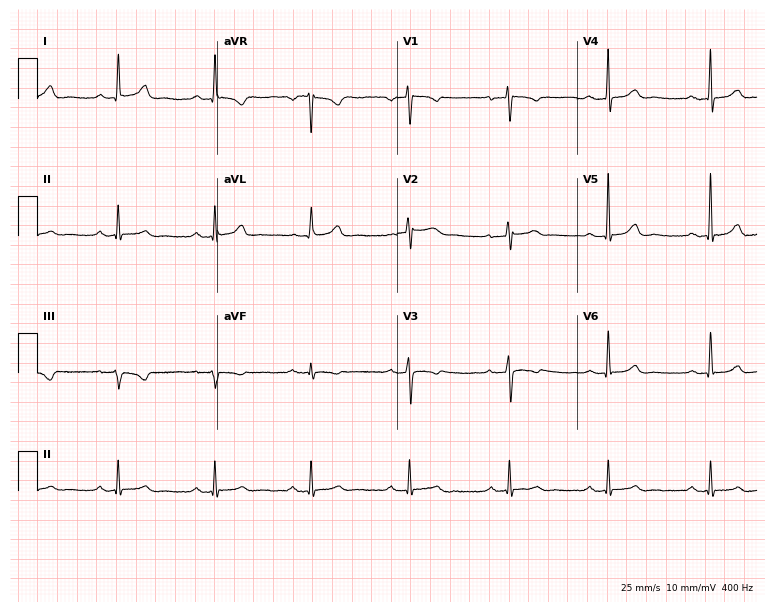
12-lead ECG from a female, 61 years old. Labelled as a normal ECG.